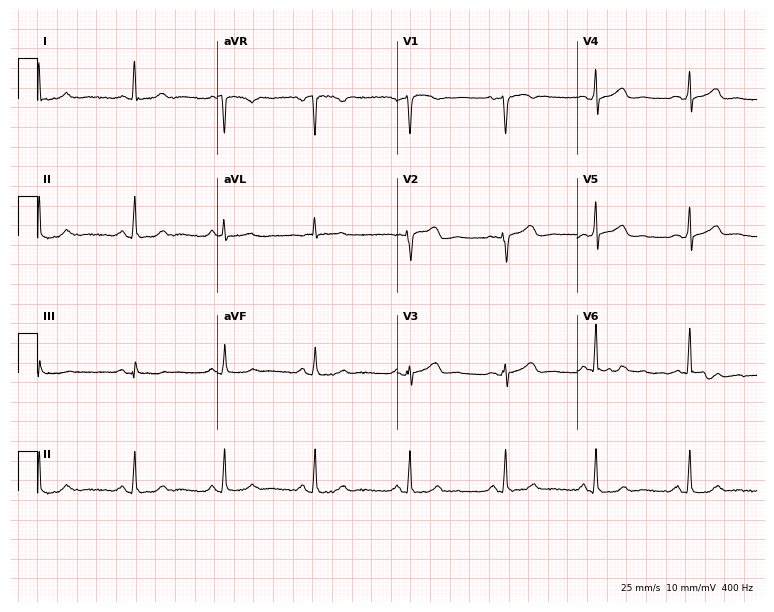
12-lead ECG from a 39-year-old woman (7.3-second recording at 400 Hz). Recorded interpretation: within normal limits.